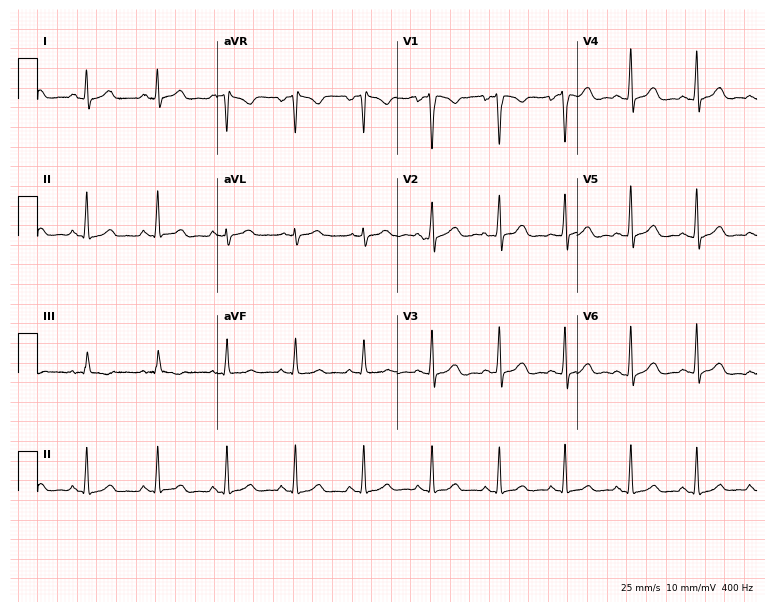
ECG — a female, 36 years old. Labelled as a normal ECG.